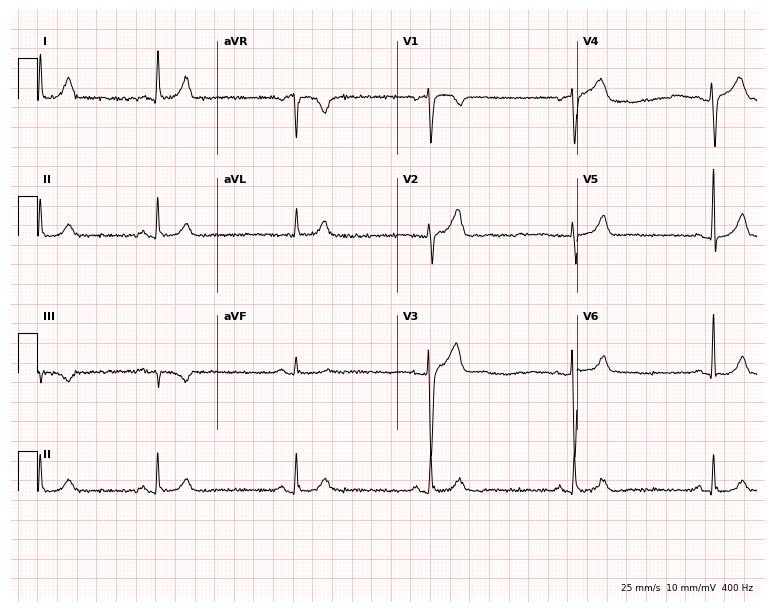
12-lead ECG from a 64-year-old male (7.3-second recording at 400 Hz). Shows sinus bradycardia (a sinus rate of 50 beats per minute or less).